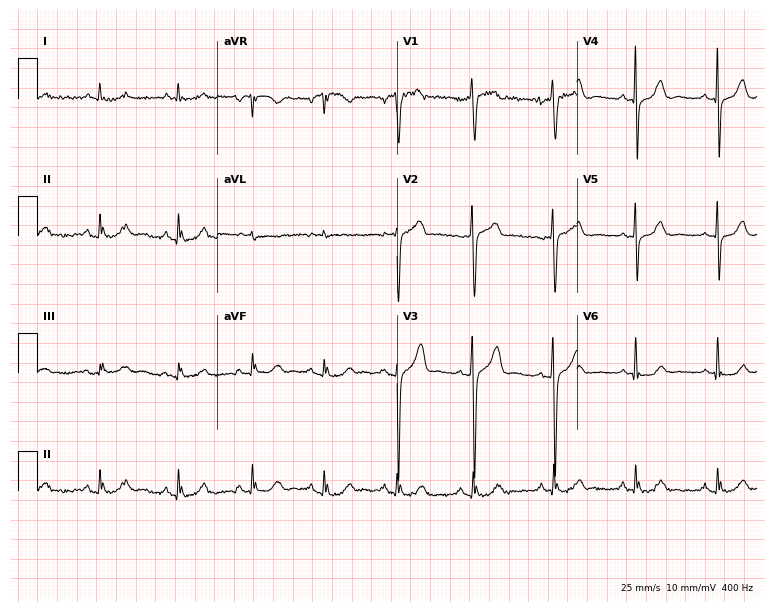
12-lead ECG (7.3-second recording at 400 Hz) from a man, 51 years old. Labelled as a normal ECG.